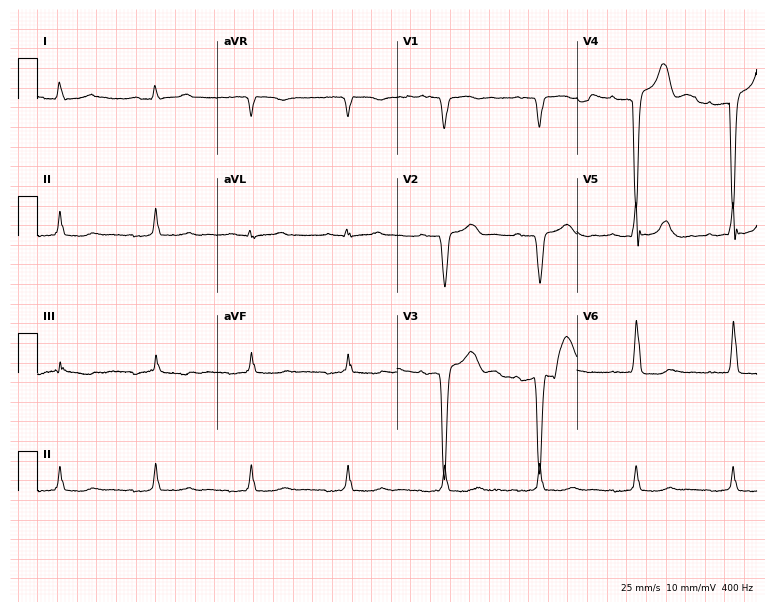
12-lead ECG from a male, 71 years old. No first-degree AV block, right bundle branch block (RBBB), left bundle branch block (LBBB), sinus bradycardia, atrial fibrillation (AF) or sinus tachycardia recorded for this tracing.